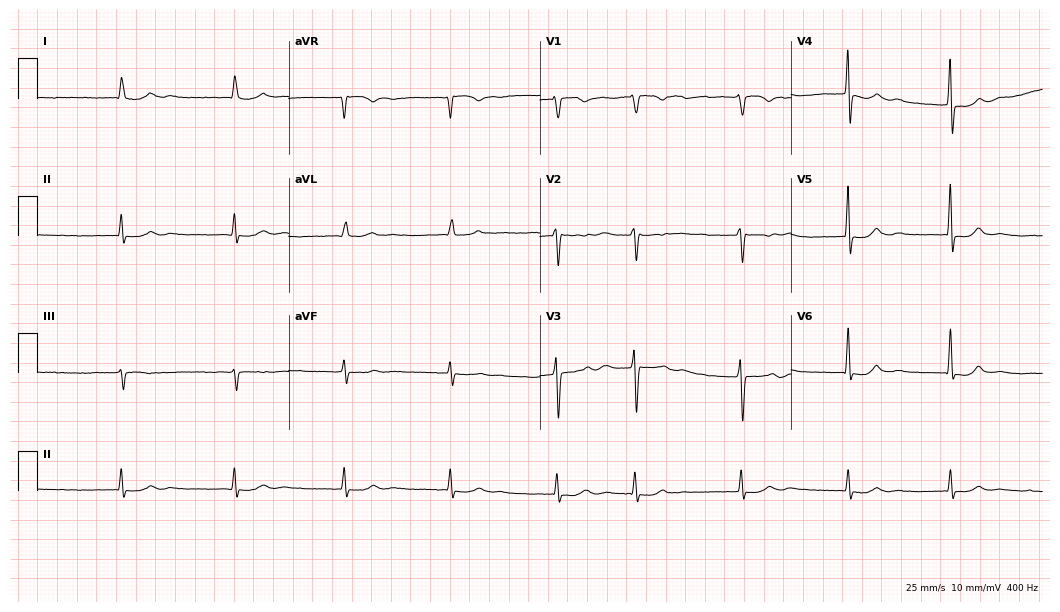
Electrocardiogram (10.2-second recording at 400 Hz), an 83-year-old woman. Interpretation includes atrial fibrillation.